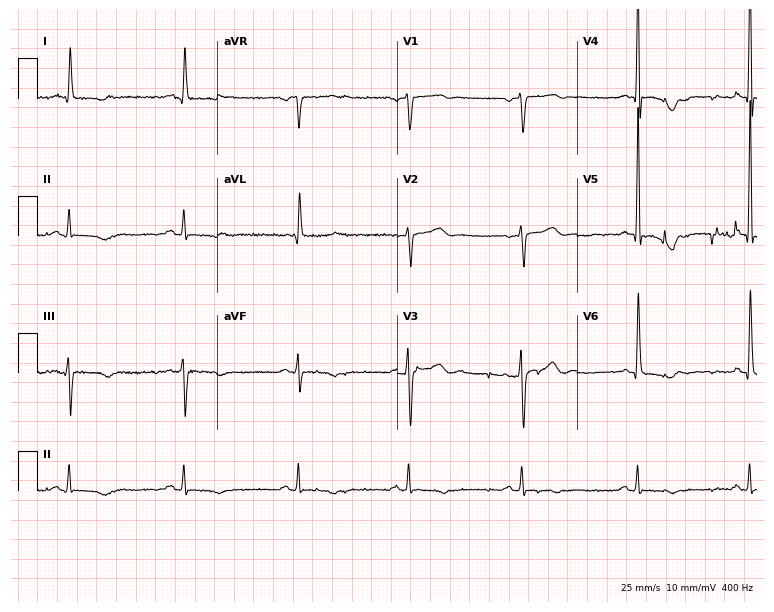
Standard 12-lead ECG recorded from a female, 77 years old. None of these six findings is recorded: first-degree AV block, right bundle branch block, left bundle branch block, sinus bradycardia, atrial fibrillation, sinus tachycardia.